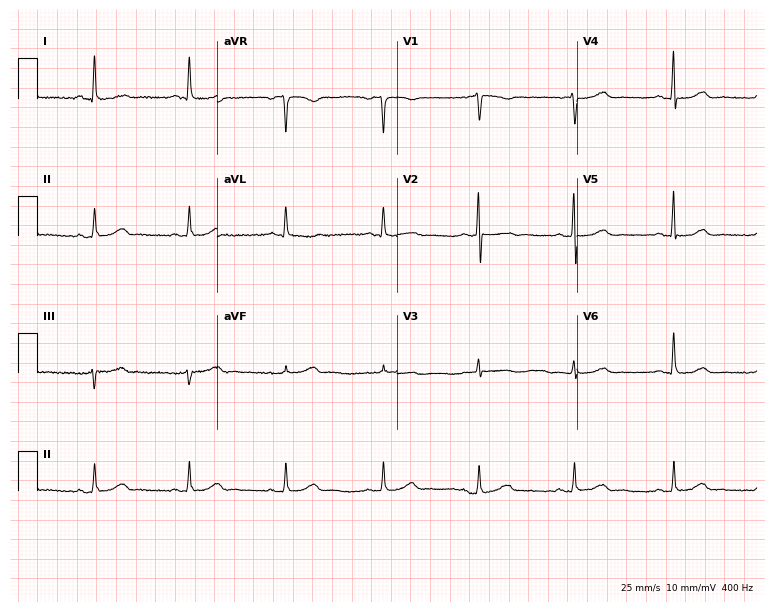
12-lead ECG from a 61-year-old female (7.3-second recording at 400 Hz). No first-degree AV block, right bundle branch block, left bundle branch block, sinus bradycardia, atrial fibrillation or sinus tachycardia recorded for this tracing. Findings outside these six are not listed.